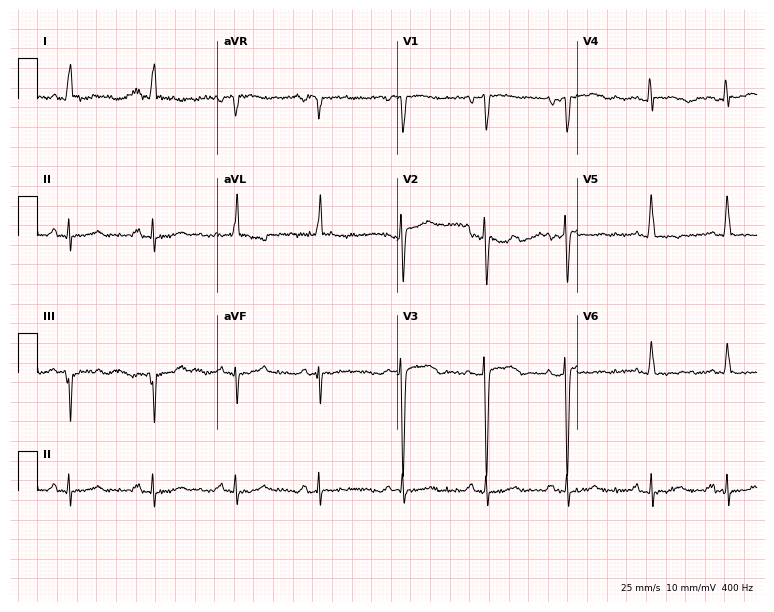
Standard 12-lead ECG recorded from a male patient, 59 years old (7.3-second recording at 400 Hz). None of these six findings is recorded: first-degree AV block, right bundle branch block, left bundle branch block, sinus bradycardia, atrial fibrillation, sinus tachycardia.